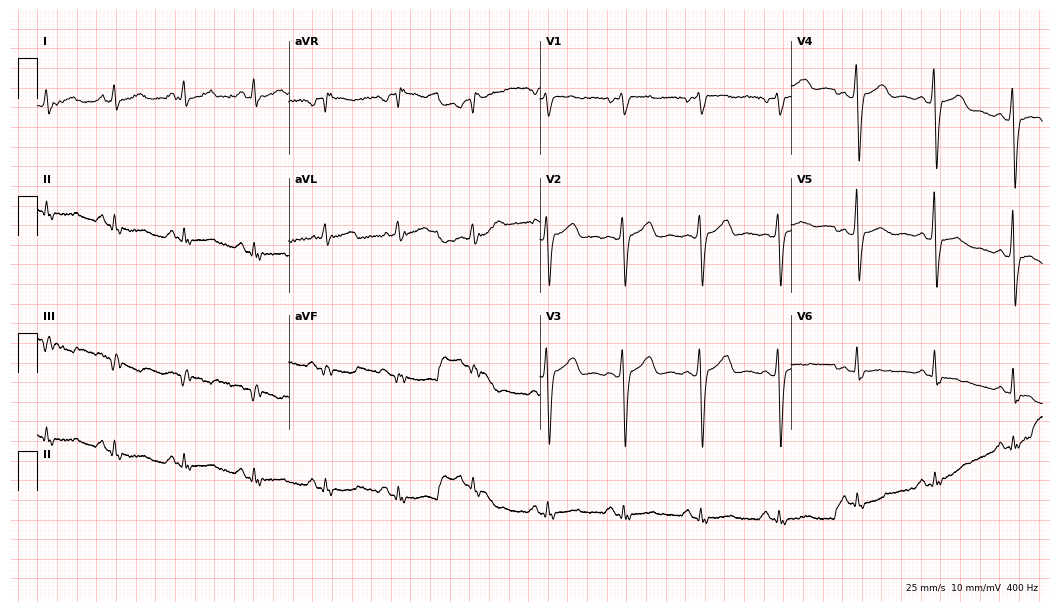
12-lead ECG from a female patient, 59 years old (10.2-second recording at 400 Hz). No first-degree AV block, right bundle branch block (RBBB), left bundle branch block (LBBB), sinus bradycardia, atrial fibrillation (AF) or sinus tachycardia recorded for this tracing. Only these six findings were labelled.